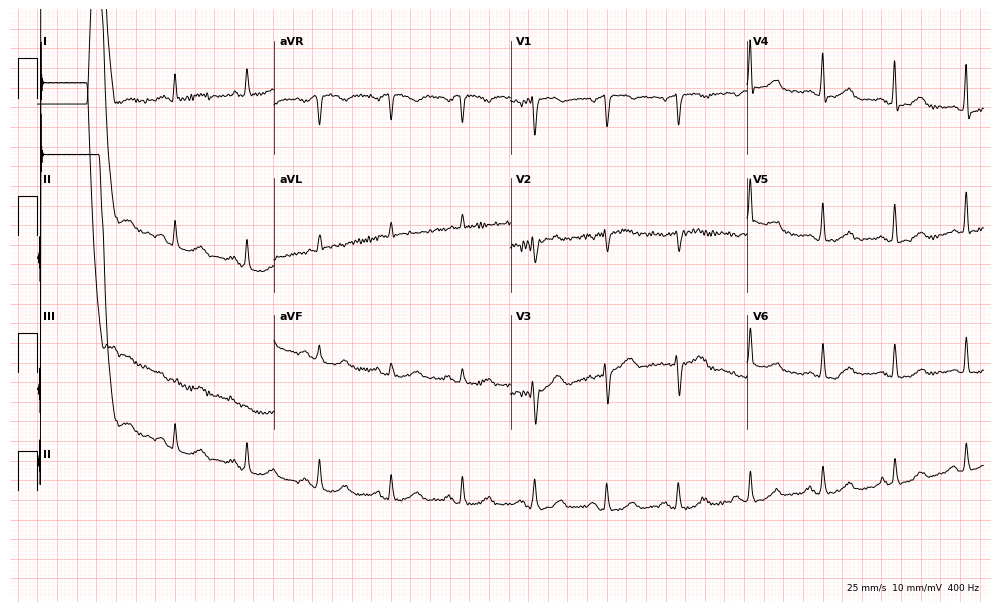
12-lead ECG from a male, 68 years old. Screened for six findings — first-degree AV block, right bundle branch block, left bundle branch block, sinus bradycardia, atrial fibrillation, sinus tachycardia — none is recorded.